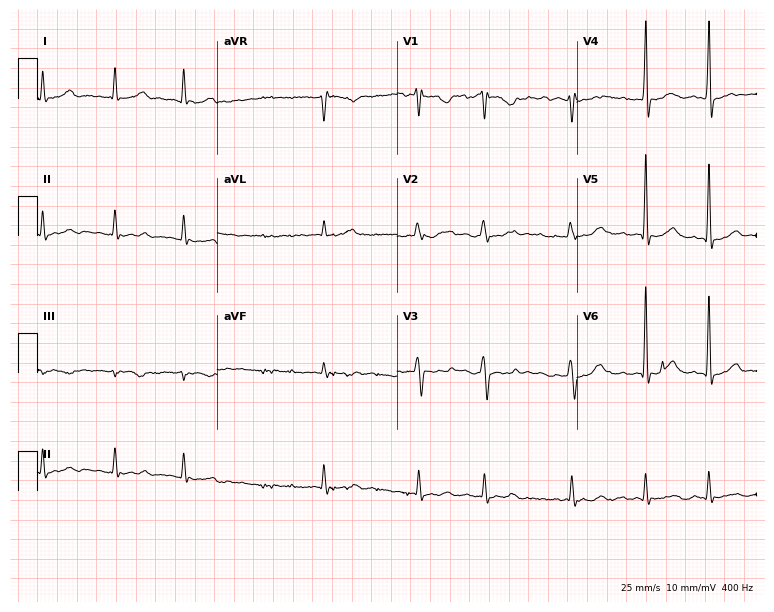
12-lead ECG (7.3-second recording at 400 Hz) from a 78-year-old male patient. Findings include atrial fibrillation (AF).